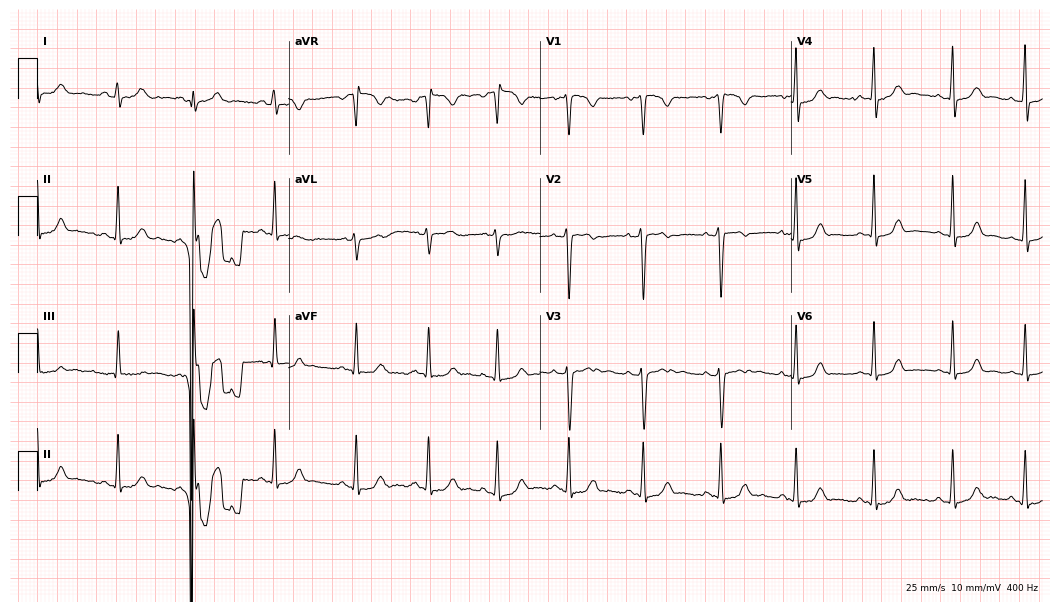
12-lead ECG from a female, 23 years old. Labelled as a normal ECG.